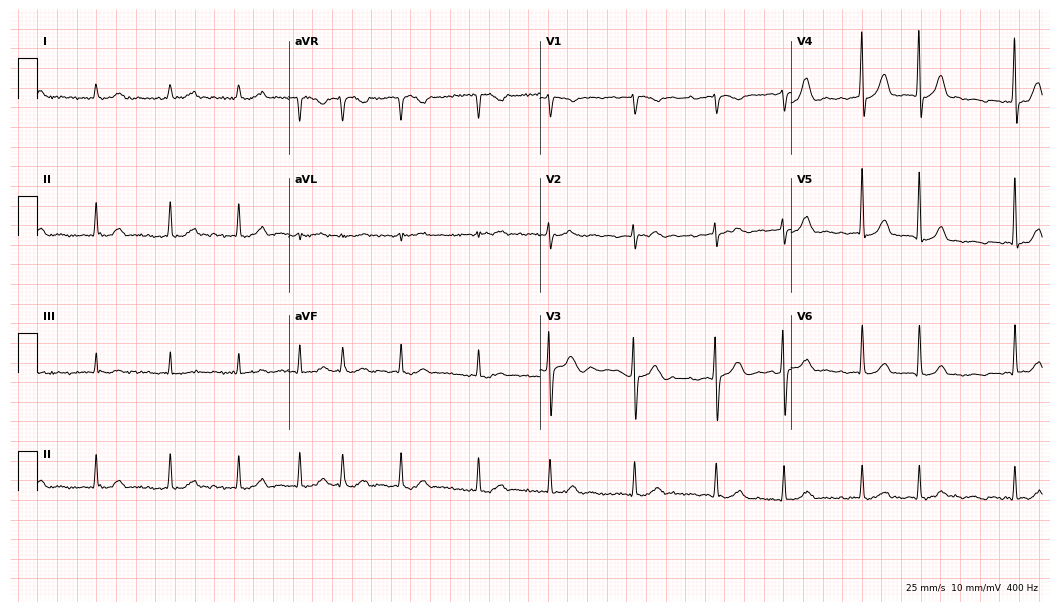
Electrocardiogram, a woman, 77 years old. Interpretation includes atrial fibrillation.